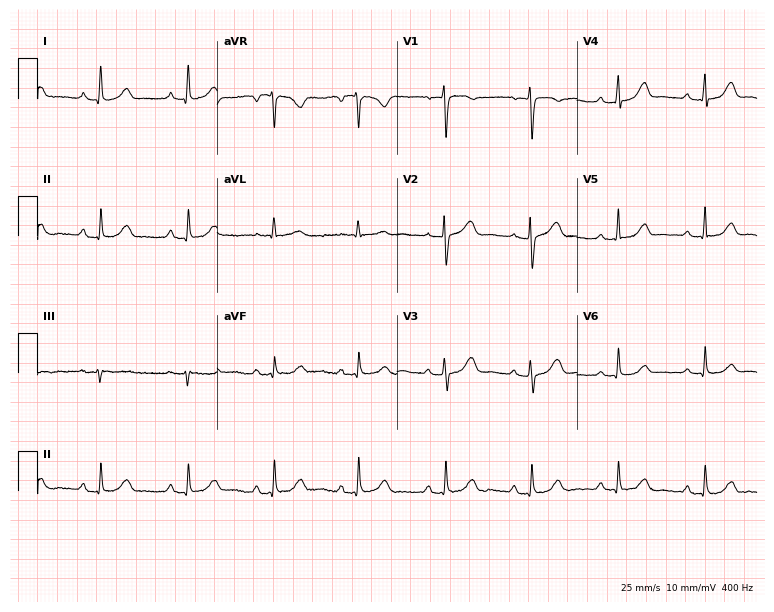
Standard 12-lead ECG recorded from a woman, 71 years old (7.3-second recording at 400 Hz). Read as a normal ECG.